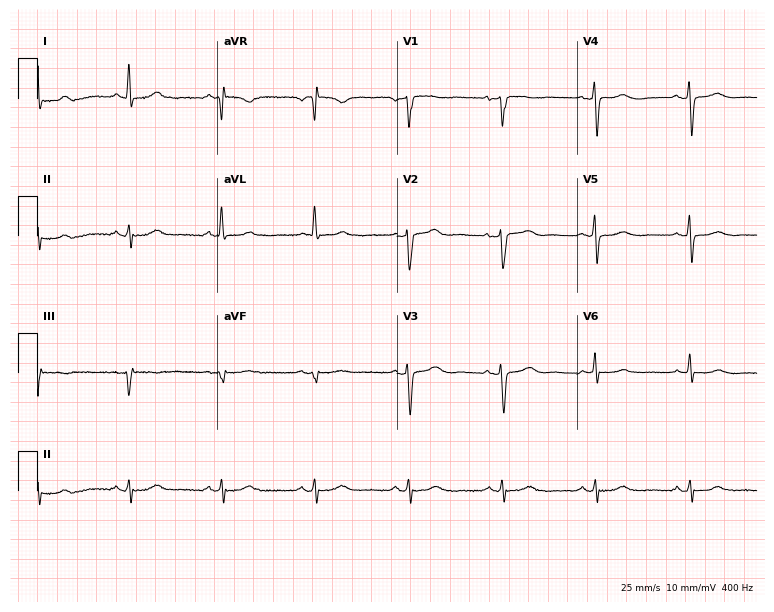
ECG (7.3-second recording at 400 Hz) — a 58-year-old female patient. Labelled as a normal ECG.